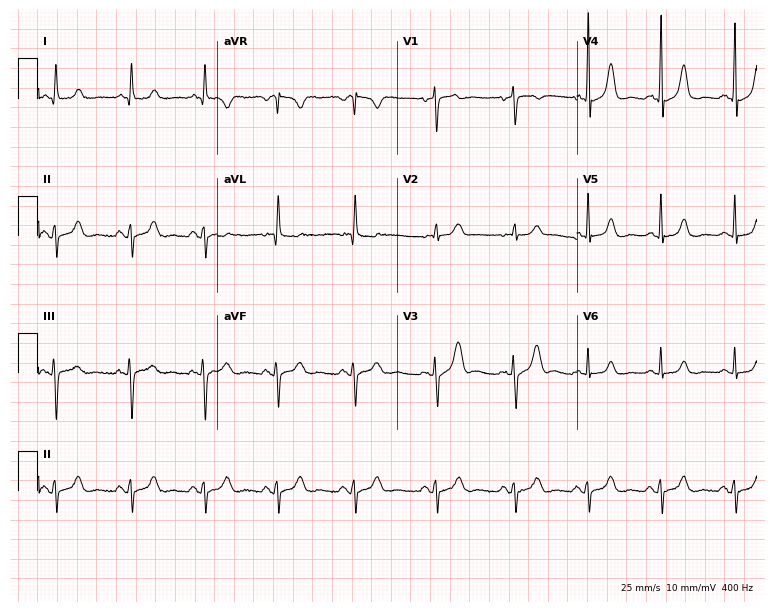
ECG — a 68-year-old female. Screened for six findings — first-degree AV block, right bundle branch block (RBBB), left bundle branch block (LBBB), sinus bradycardia, atrial fibrillation (AF), sinus tachycardia — none is recorded.